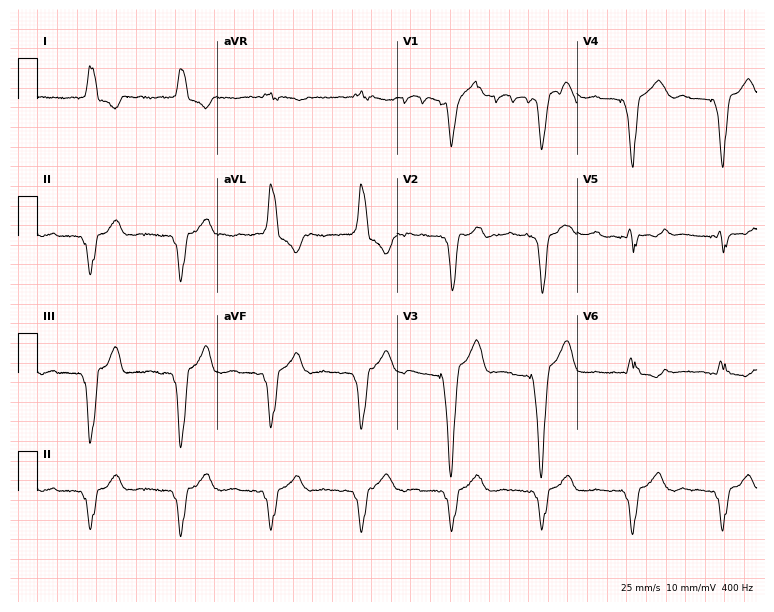
ECG (7.3-second recording at 400 Hz) — a female, 42 years old. Screened for six findings — first-degree AV block, right bundle branch block, left bundle branch block, sinus bradycardia, atrial fibrillation, sinus tachycardia — none is recorded. Only these six findings were labelled.